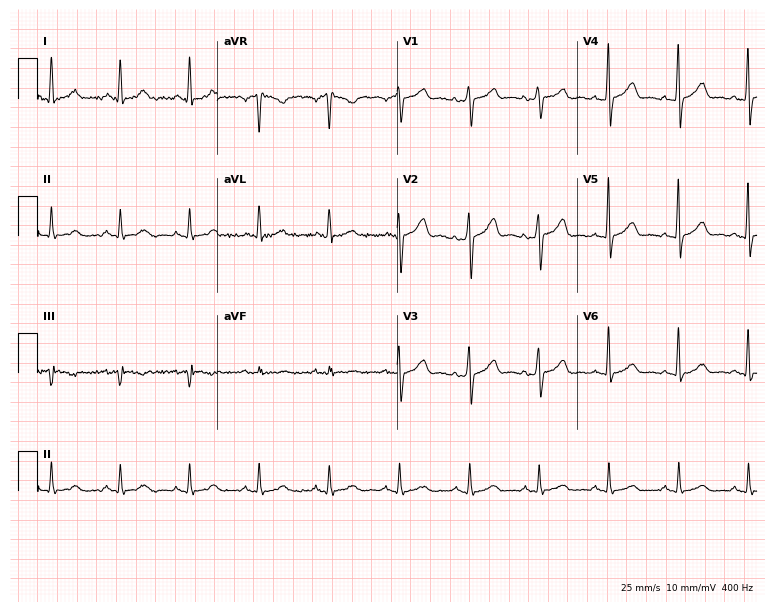
ECG (7.3-second recording at 400 Hz) — an 85-year-old man. Labelled as a normal ECG.